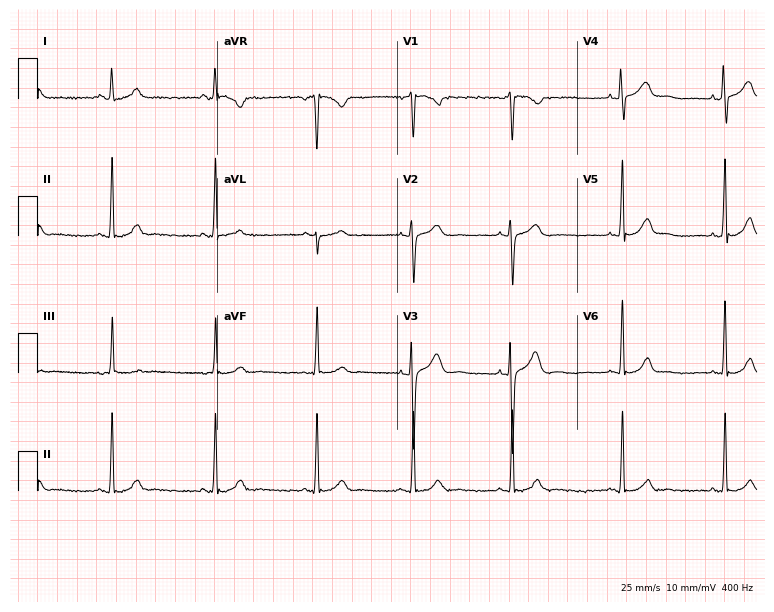
12-lead ECG from a woman, 18 years old. Labelled as a normal ECG.